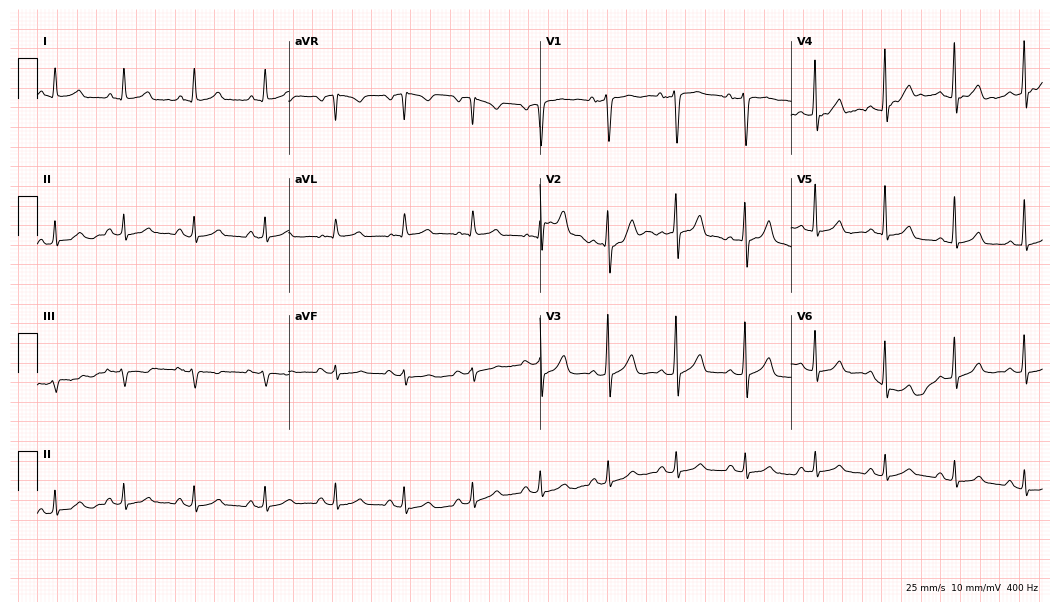
12-lead ECG from a 54-year-old male. Recorded interpretation: within normal limits.